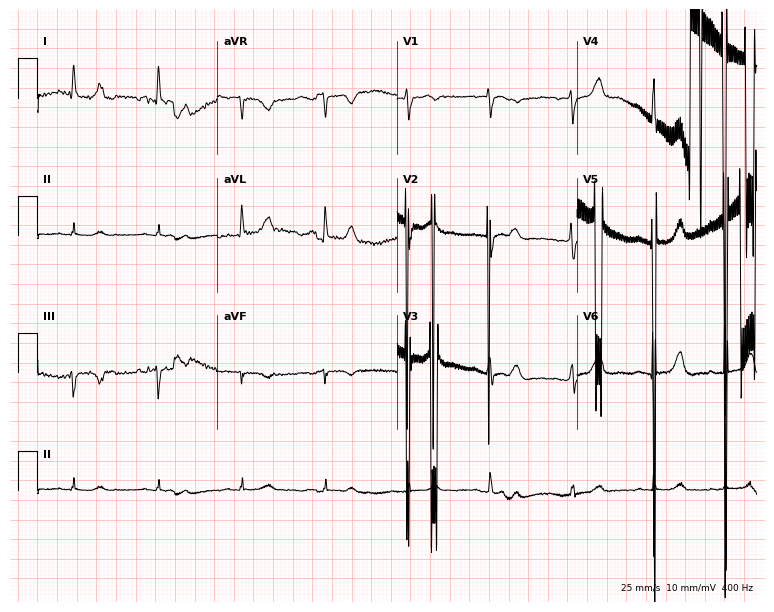
ECG (7.3-second recording at 400 Hz) — a female patient, 59 years old. Screened for six findings — first-degree AV block, right bundle branch block, left bundle branch block, sinus bradycardia, atrial fibrillation, sinus tachycardia — none is recorded. Other findings, if any, are not listed.